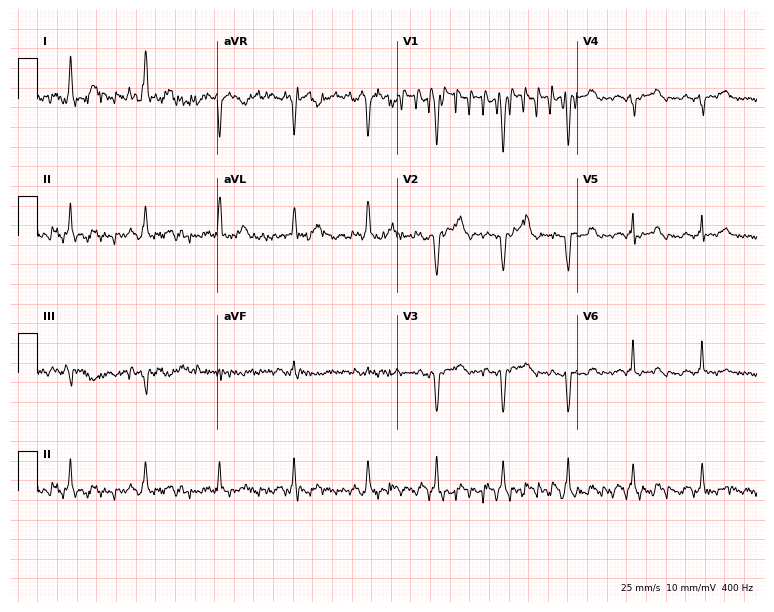
Electrocardiogram (7.3-second recording at 400 Hz), a 73-year-old female. Of the six screened findings (first-degree AV block, right bundle branch block, left bundle branch block, sinus bradycardia, atrial fibrillation, sinus tachycardia), none is recorded. Only these six findings were labelled.